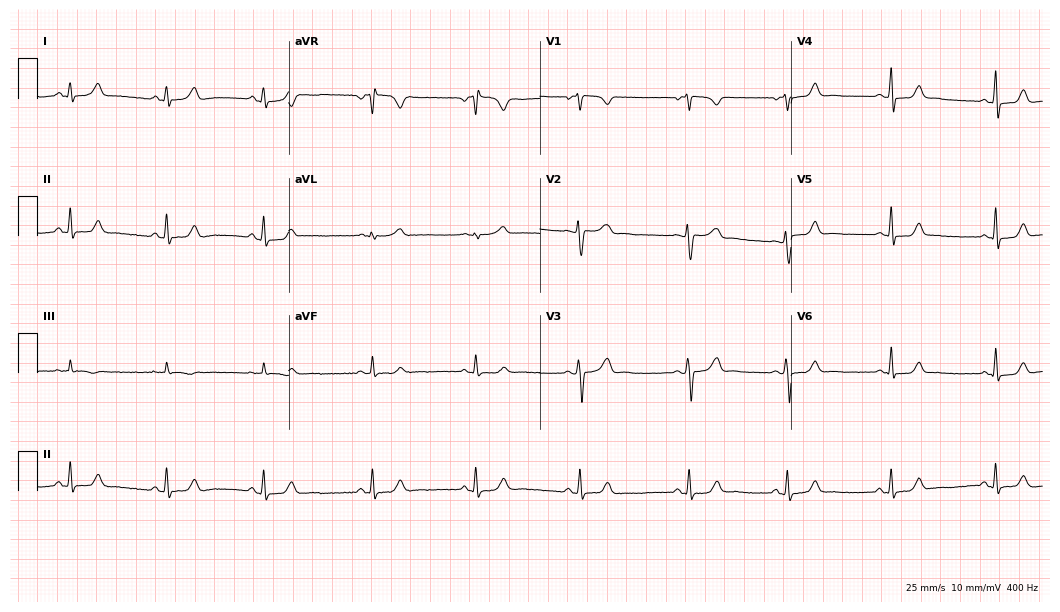
12-lead ECG from a female, 31 years old. Recorded interpretation: within normal limits.